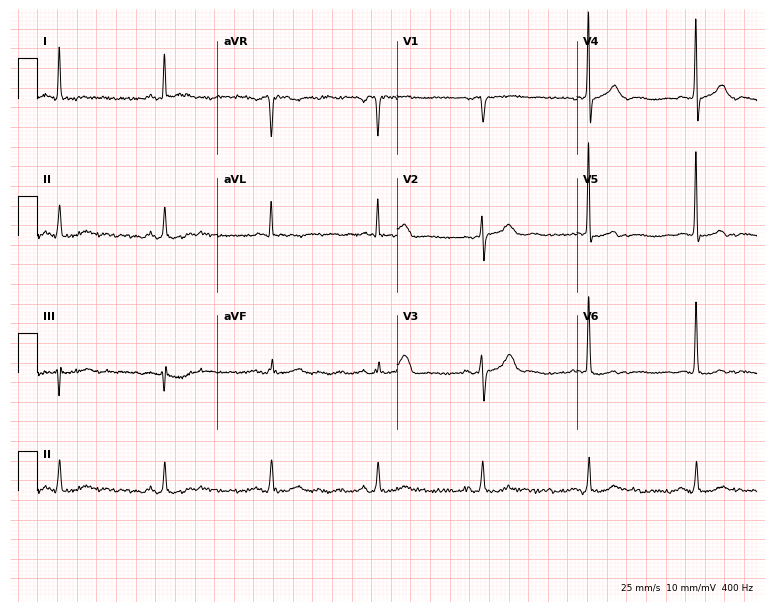
Standard 12-lead ECG recorded from a 59-year-old female. None of these six findings is recorded: first-degree AV block, right bundle branch block, left bundle branch block, sinus bradycardia, atrial fibrillation, sinus tachycardia.